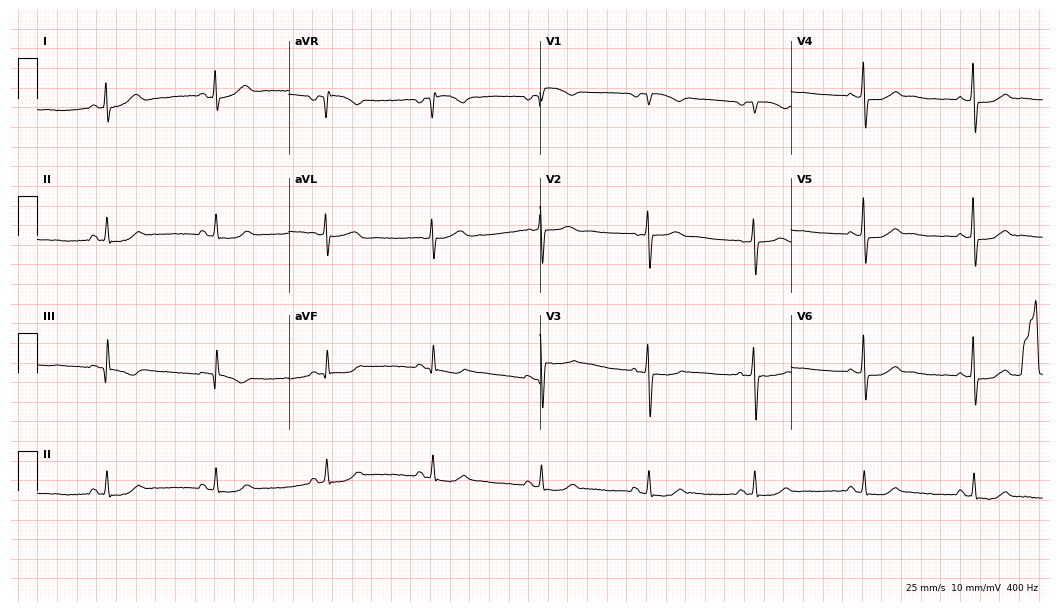
ECG (10.2-second recording at 400 Hz) — a 67-year-old female patient. Screened for six findings — first-degree AV block, right bundle branch block, left bundle branch block, sinus bradycardia, atrial fibrillation, sinus tachycardia — none is recorded.